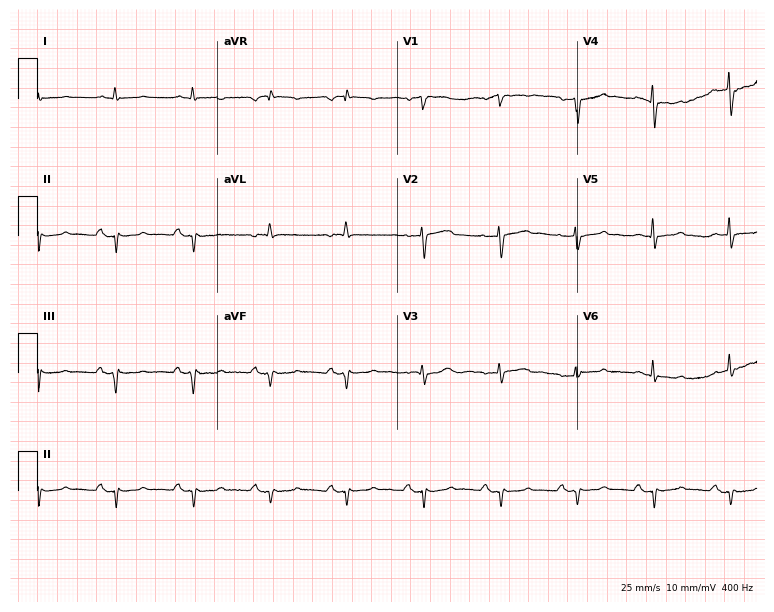
Electrocardiogram, a male patient, 71 years old. Of the six screened findings (first-degree AV block, right bundle branch block (RBBB), left bundle branch block (LBBB), sinus bradycardia, atrial fibrillation (AF), sinus tachycardia), none is recorded. Findings outside these six are not listed.